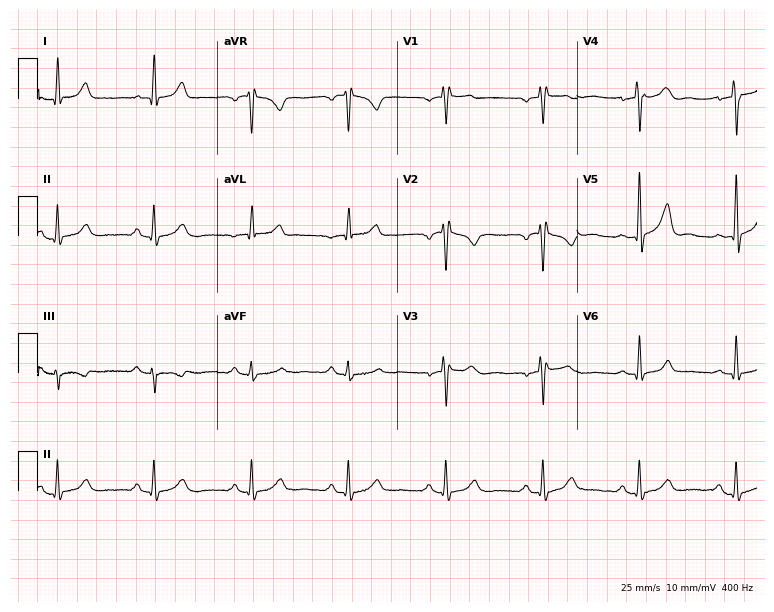
12-lead ECG (7.3-second recording at 400 Hz) from a 48-year-old male. Screened for six findings — first-degree AV block, right bundle branch block, left bundle branch block, sinus bradycardia, atrial fibrillation, sinus tachycardia — none is recorded.